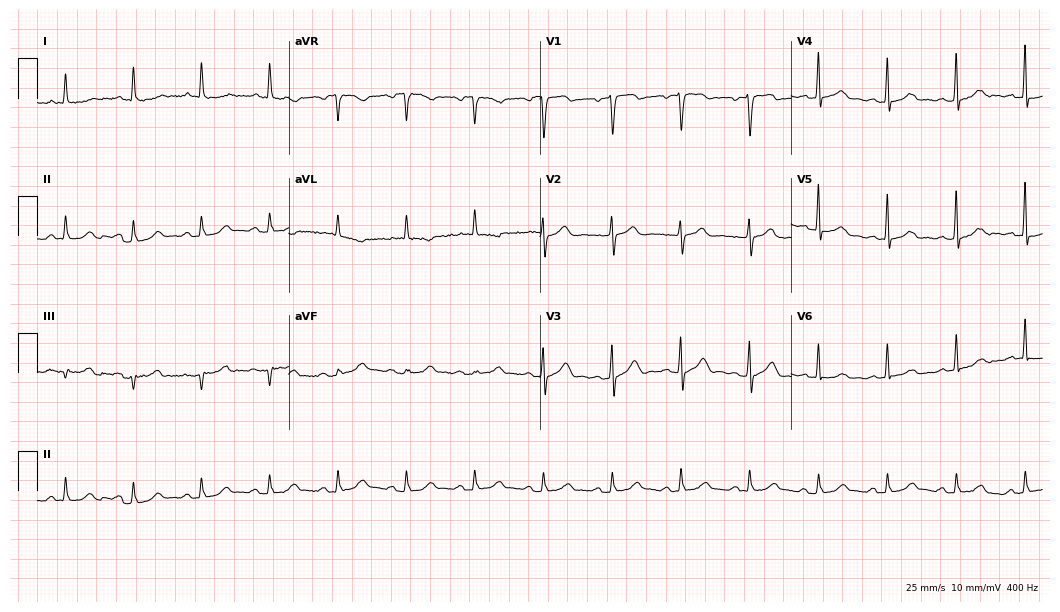
Electrocardiogram, an 83-year-old male patient. Of the six screened findings (first-degree AV block, right bundle branch block, left bundle branch block, sinus bradycardia, atrial fibrillation, sinus tachycardia), none is recorded.